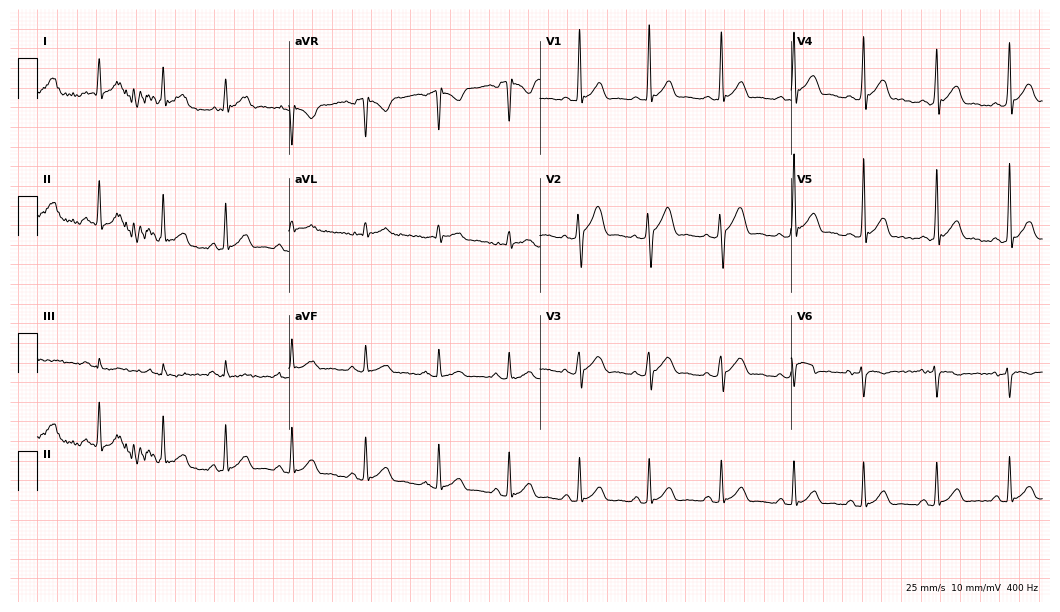
ECG (10.2-second recording at 400 Hz) — a male patient, 30 years old. Screened for six findings — first-degree AV block, right bundle branch block, left bundle branch block, sinus bradycardia, atrial fibrillation, sinus tachycardia — none is recorded.